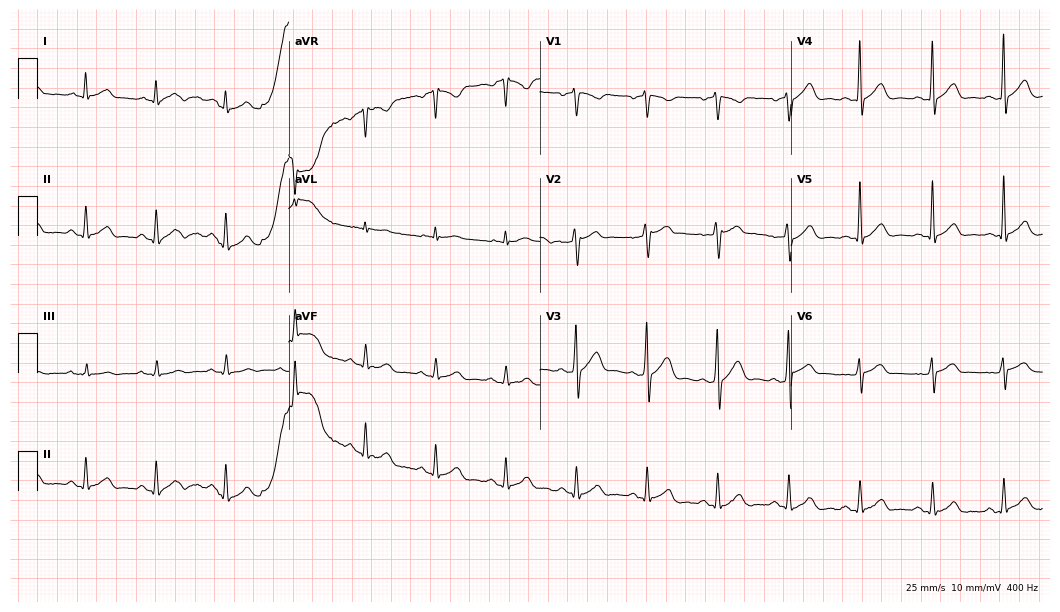
Resting 12-lead electrocardiogram (10.2-second recording at 400 Hz). Patient: a 57-year-old male. Read as a normal ECG.